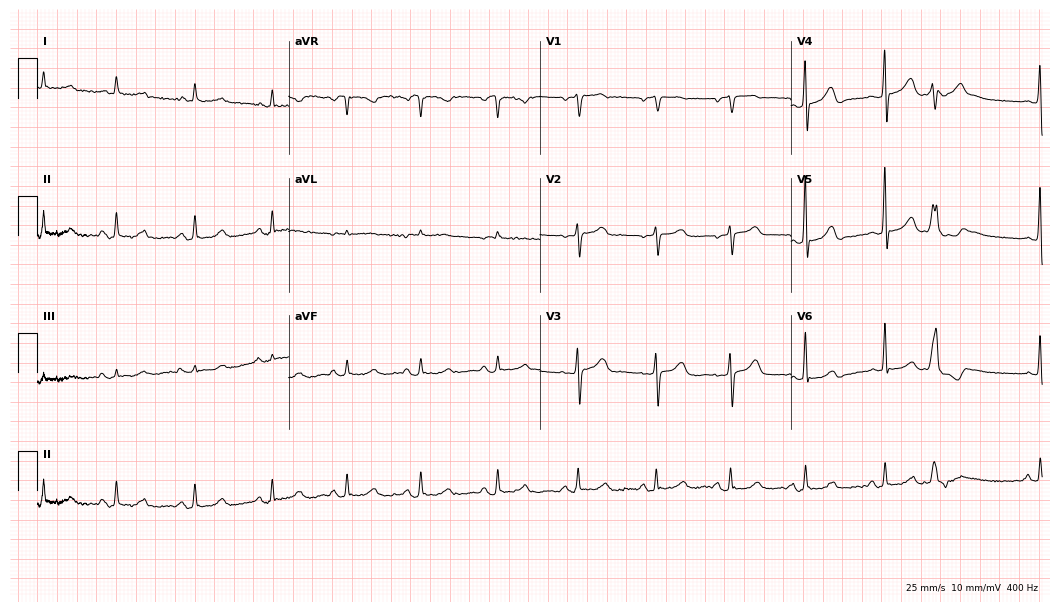
12-lead ECG (10.2-second recording at 400 Hz) from a female, 85 years old. Screened for six findings — first-degree AV block, right bundle branch block, left bundle branch block, sinus bradycardia, atrial fibrillation, sinus tachycardia — none is recorded. Findings outside these six are not listed.